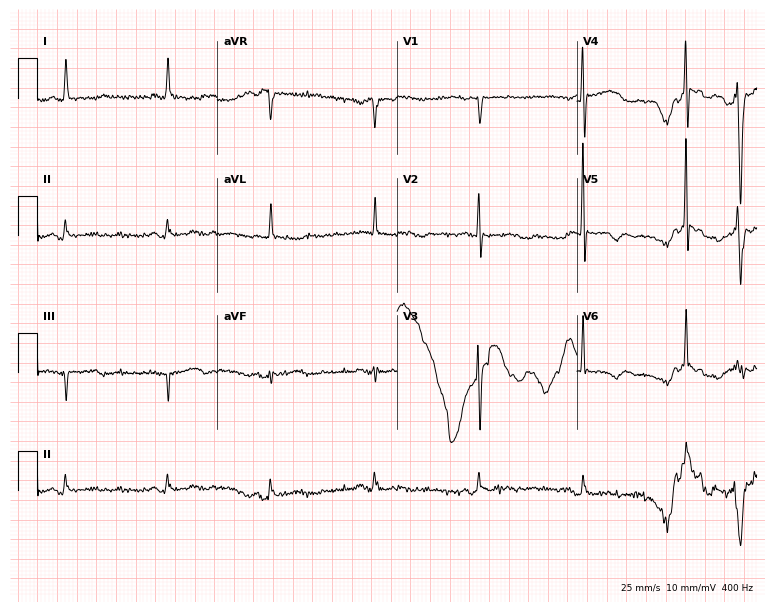
12-lead ECG from a 78-year-old female (7.3-second recording at 400 Hz). No first-degree AV block, right bundle branch block (RBBB), left bundle branch block (LBBB), sinus bradycardia, atrial fibrillation (AF) or sinus tachycardia recorded for this tracing. Findings outside these six are not listed.